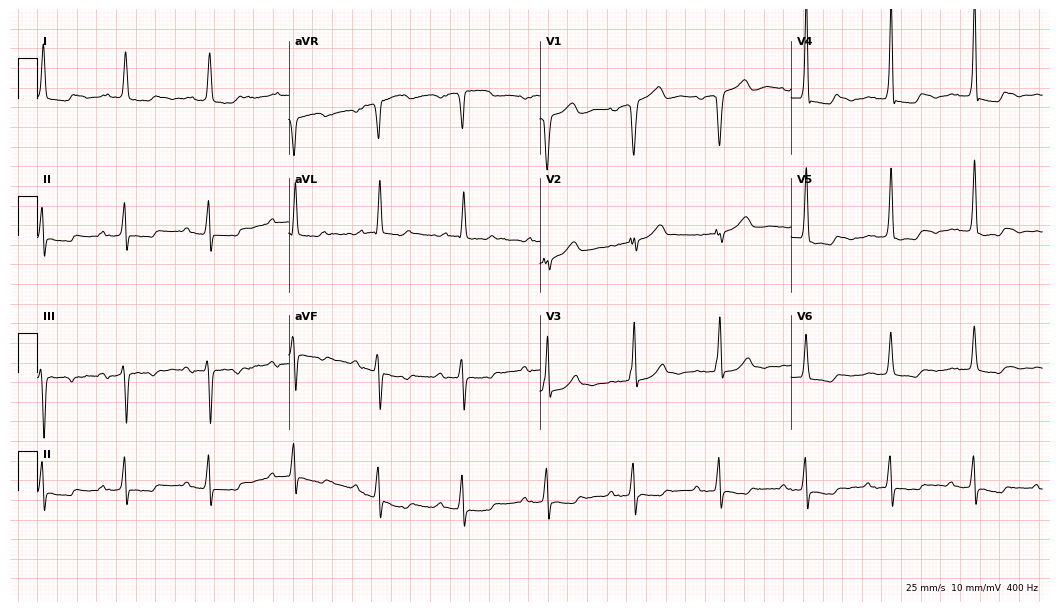
ECG (10.2-second recording at 400 Hz) — an 81-year-old female. Screened for six findings — first-degree AV block, right bundle branch block, left bundle branch block, sinus bradycardia, atrial fibrillation, sinus tachycardia — none is recorded.